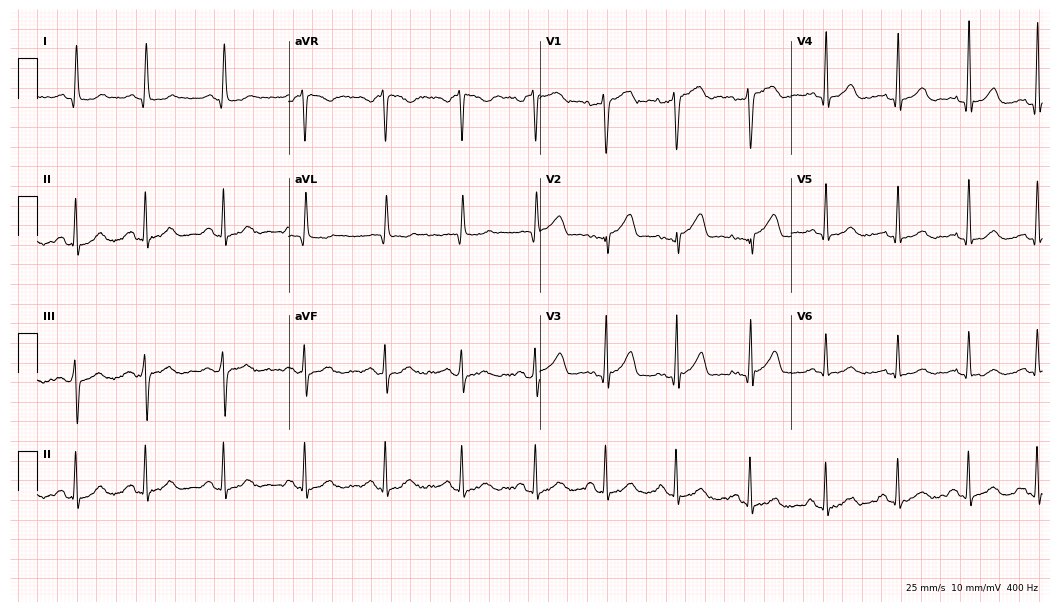
Standard 12-lead ECG recorded from a 50-year-old woman. Read as a normal ECG.